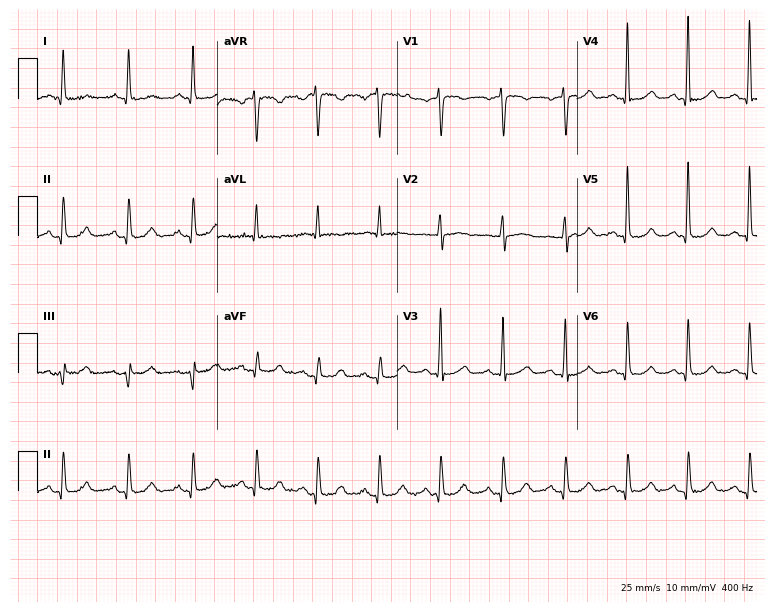
Resting 12-lead electrocardiogram. Patient: a 61-year-old woman. Read as a normal ECG.